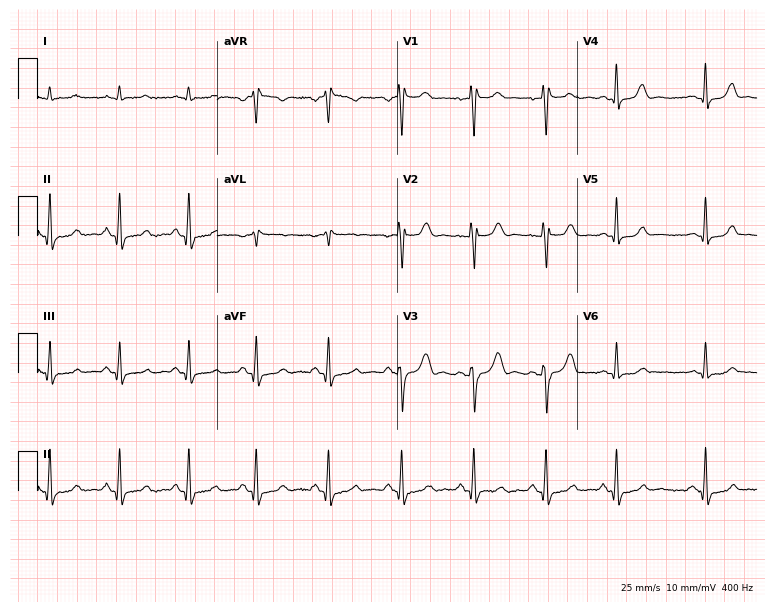
12-lead ECG from a 40-year-old female (7.3-second recording at 400 Hz). Recorded interpretation: within normal limits.